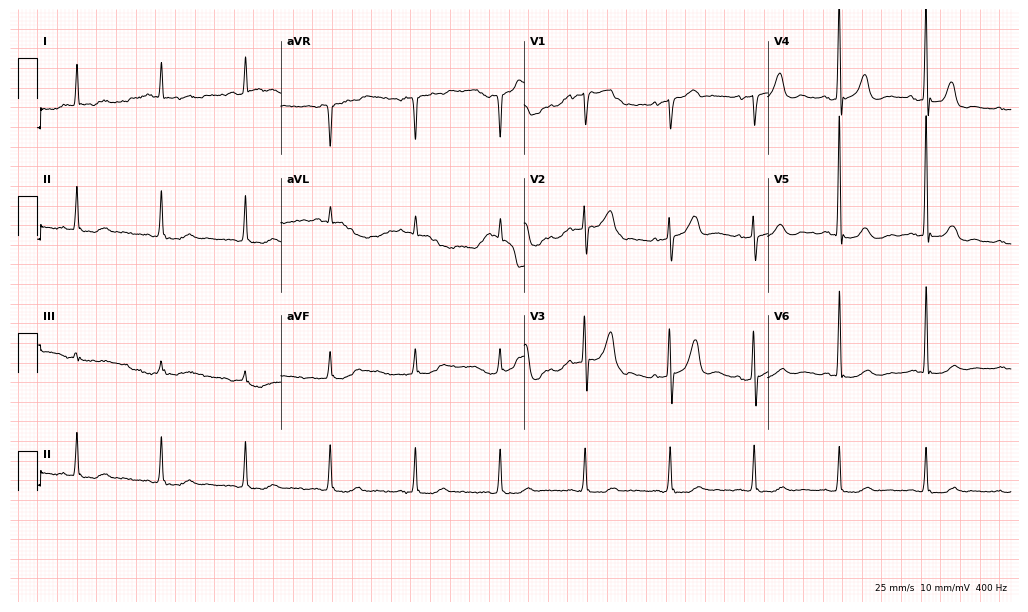
12-lead ECG from a man, 83 years old. No first-degree AV block, right bundle branch block, left bundle branch block, sinus bradycardia, atrial fibrillation or sinus tachycardia recorded for this tracing. Findings outside these six are not listed.